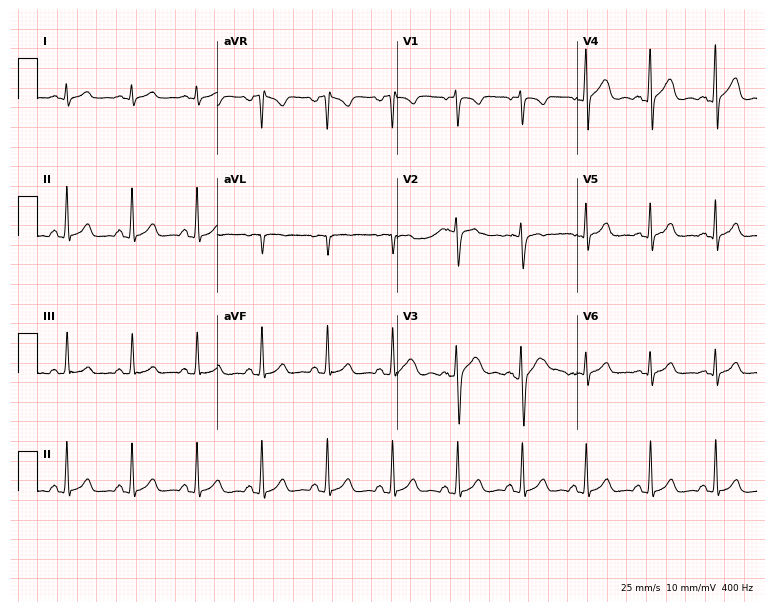
ECG (7.3-second recording at 400 Hz) — a 41-year-old male. Labelled as a normal ECG.